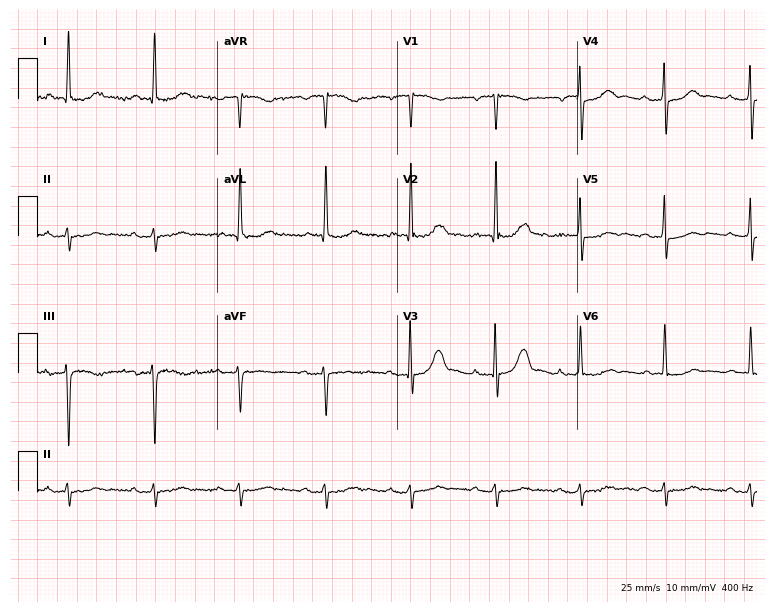
ECG (7.3-second recording at 400 Hz) — a 78-year-old man. Screened for six findings — first-degree AV block, right bundle branch block, left bundle branch block, sinus bradycardia, atrial fibrillation, sinus tachycardia — none is recorded.